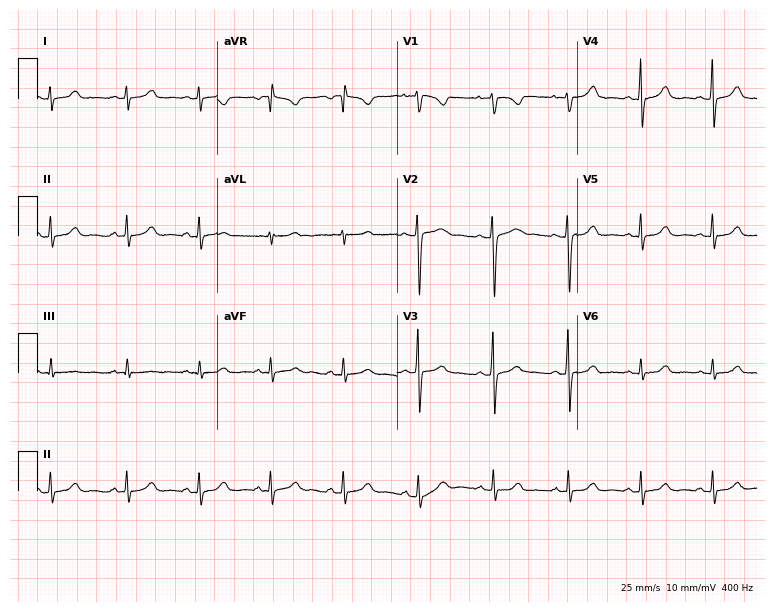
Standard 12-lead ECG recorded from a female, 17 years old (7.3-second recording at 400 Hz). Read as a normal ECG.